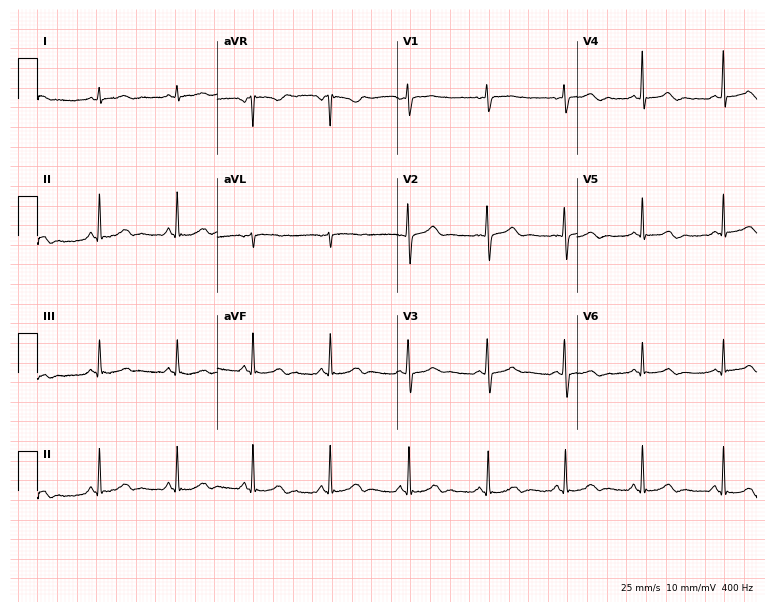
Electrocardiogram, a 26-year-old female. Overall reading on record: normal ECG.